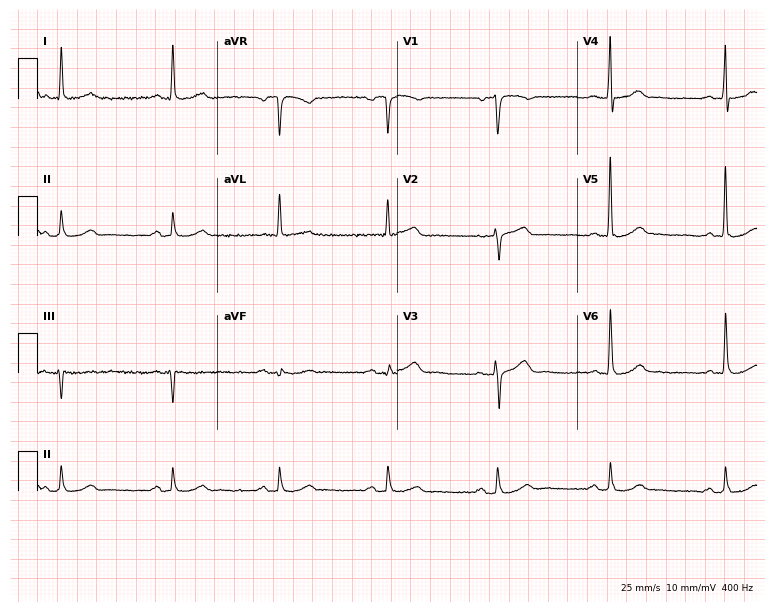
12-lead ECG from a 67-year-old man. Screened for six findings — first-degree AV block, right bundle branch block, left bundle branch block, sinus bradycardia, atrial fibrillation, sinus tachycardia — none is recorded.